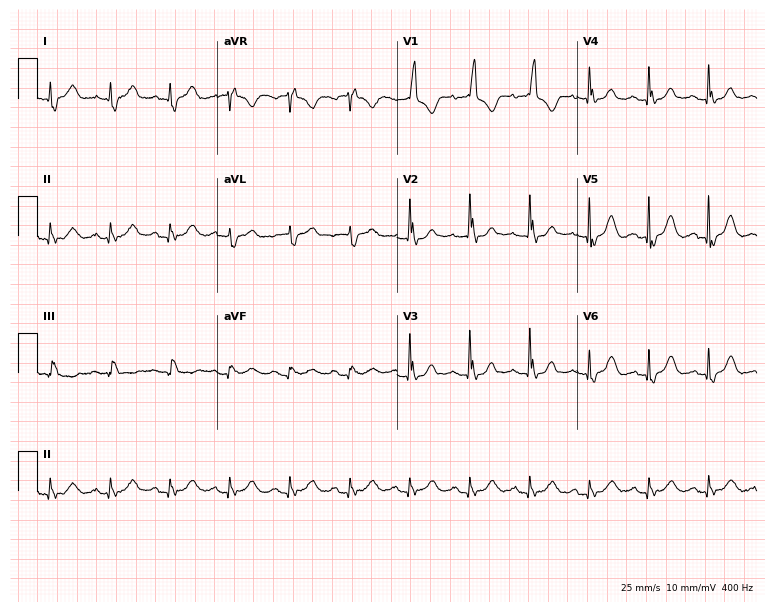
ECG — an 83-year-old female. Screened for six findings — first-degree AV block, right bundle branch block, left bundle branch block, sinus bradycardia, atrial fibrillation, sinus tachycardia — none is recorded.